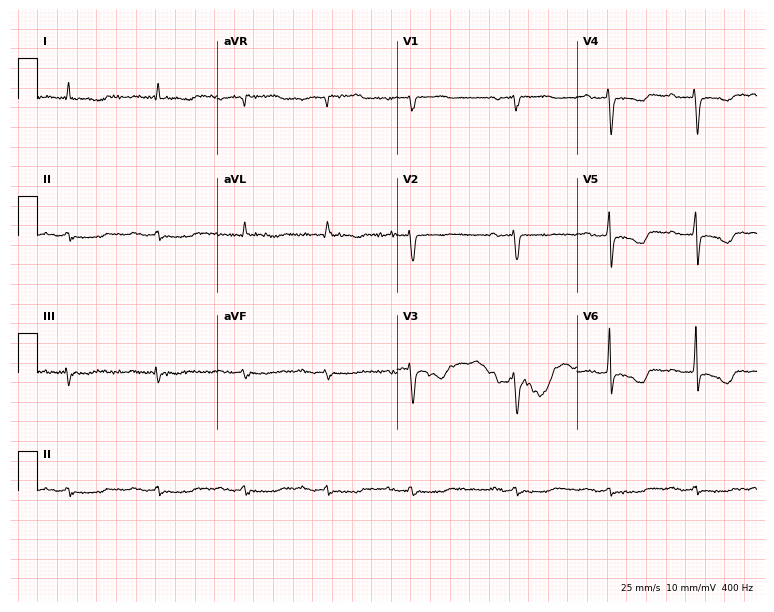
Standard 12-lead ECG recorded from an 80-year-old man (7.3-second recording at 400 Hz). None of these six findings is recorded: first-degree AV block, right bundle branch block (RBBB), left bundle branch block (LBBB), sinus bradycardia, atrial fibrillation (AF), sinus tachycardia. Findings outside these six are not listed.